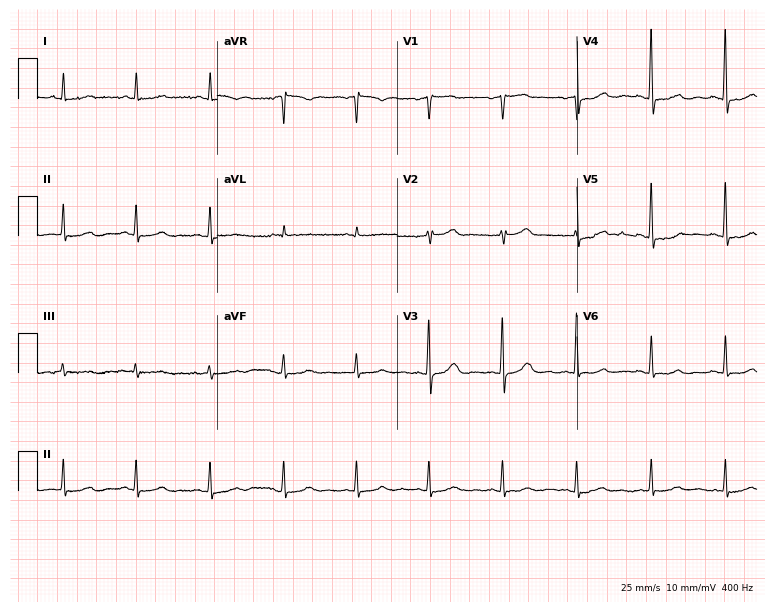
12-lead ECG from a woman, 66 years old. No first-degree AV block, right bundle branch block (RBBB), left bundle branch block (LBBB), sinus bradycardia, atrial fibrillation (AF) or sinus tachycardia recorded for this tracing.